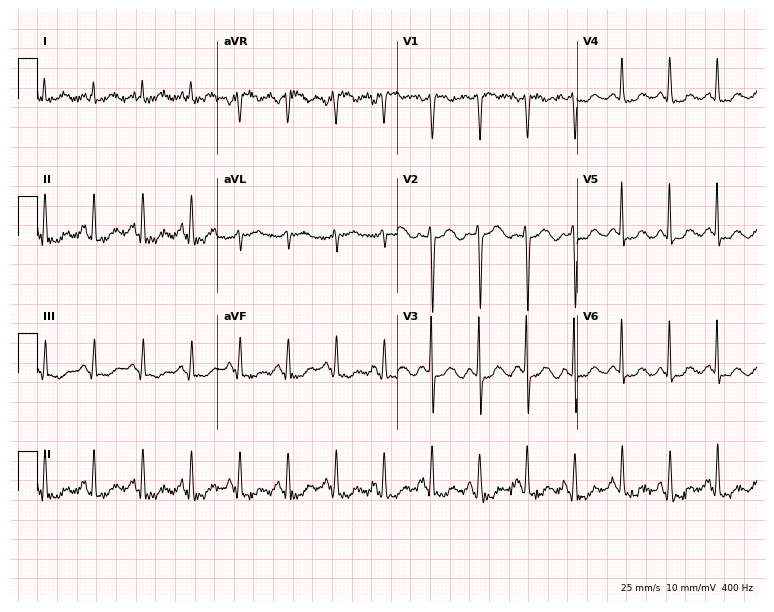
12-lead ECG (7.3-second recording at 400 Hz) from a female, 44 years old. Screened for six findings — first-degree AV block, right bundle branch block, left bundle branch block, sinus bradycardia, atrial fibrillation, sinus tachycardia — none is recorded. Findings outside these six are not listed.